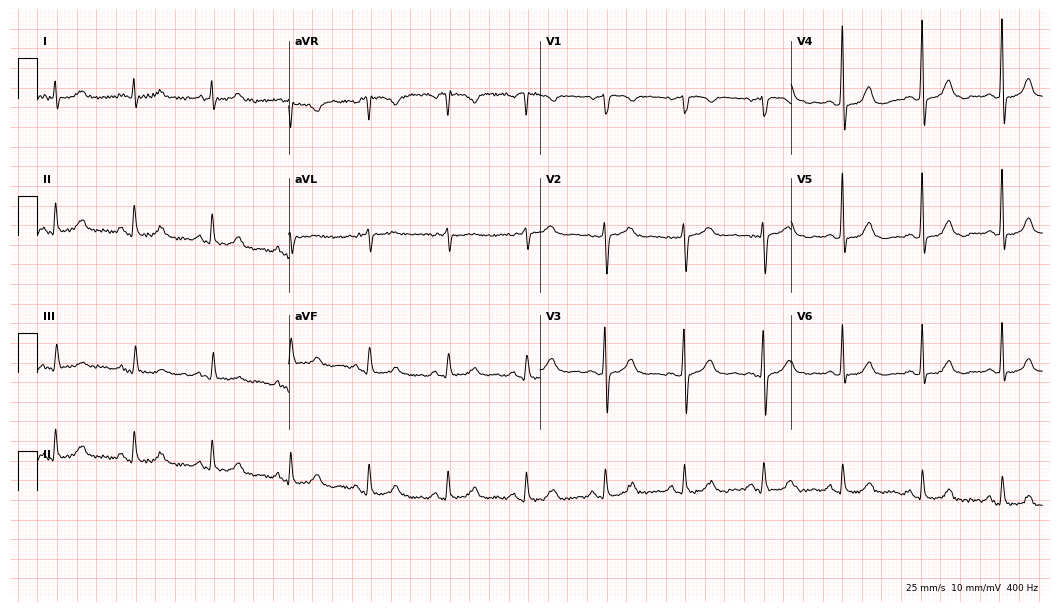
12-lead ECG from a 72-year-old woman. No first-degree AV block, right bundle branch block, left bundle branch block, sinus bradycardia, atrial fibrillation or sinus tachycardia recorded for this tracing. Only these six findings were labelled.